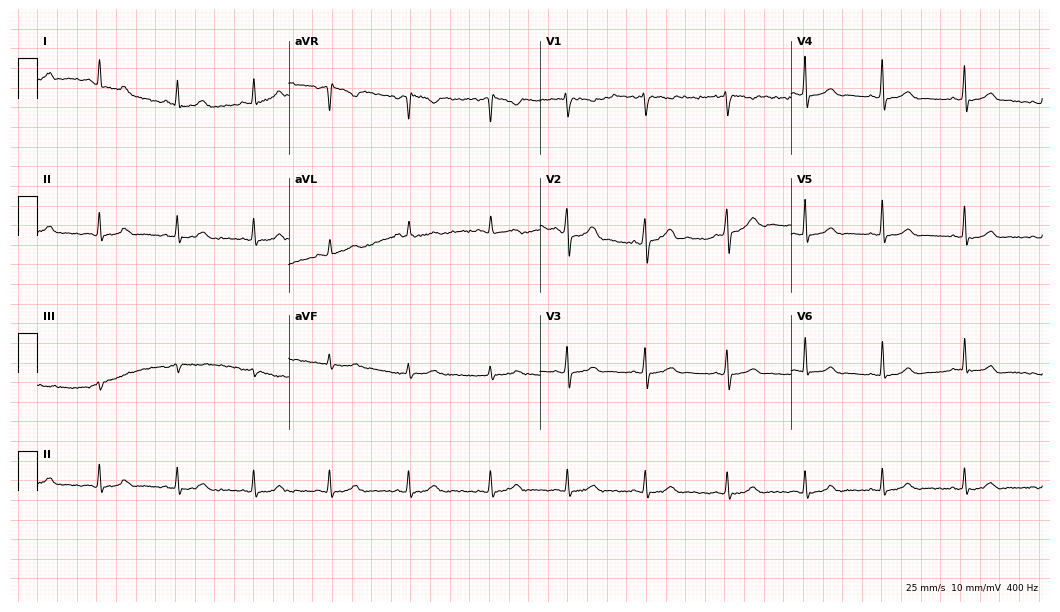
Electrocardiogram, a female, 27 years old. Overall reading on record: normal ECG.